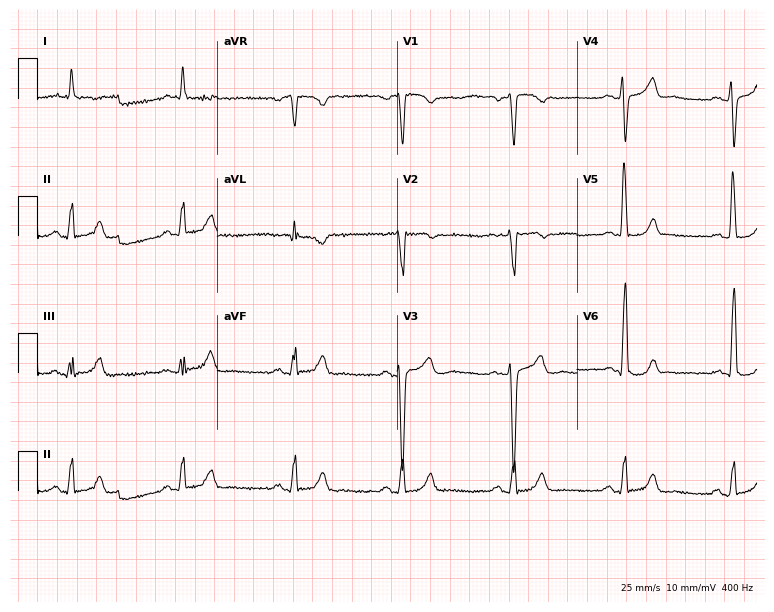
12-lead ECG (7.3-second recording at 400 Hz) from a man, 66 years old. Screened for six findings — first-degree AV block, right bundle branch block, left bundle branch block, sinus bradycardia, atrial fibrillation, sinus tachycardia — none is recorded. Other findings, if any, are not listed.